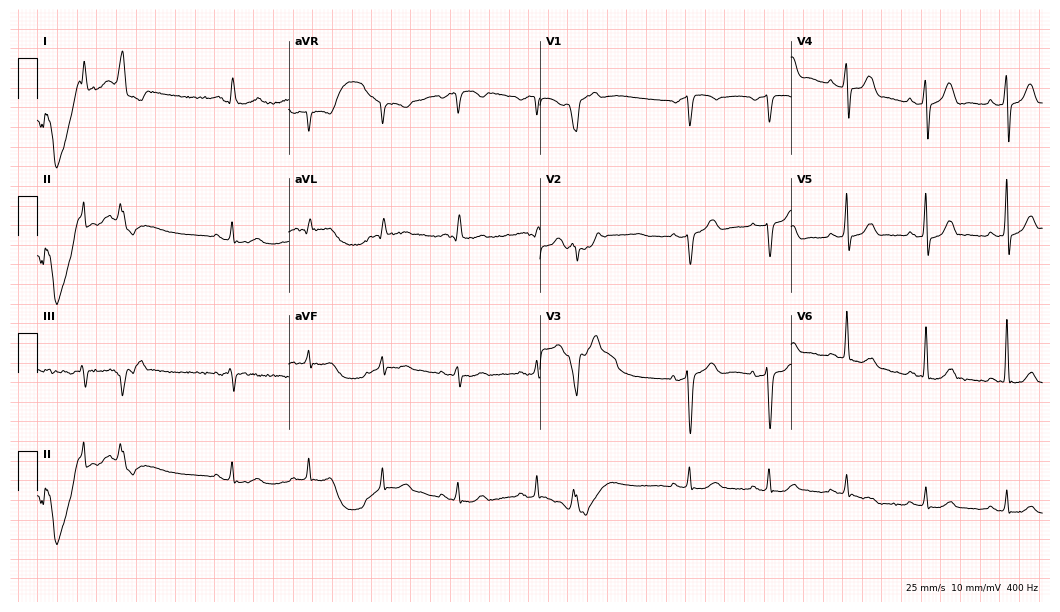
12-lead ECG (10.2-second recording at 400 Hz) from an 80-year-old male patient. Labelled as a normal ECG.